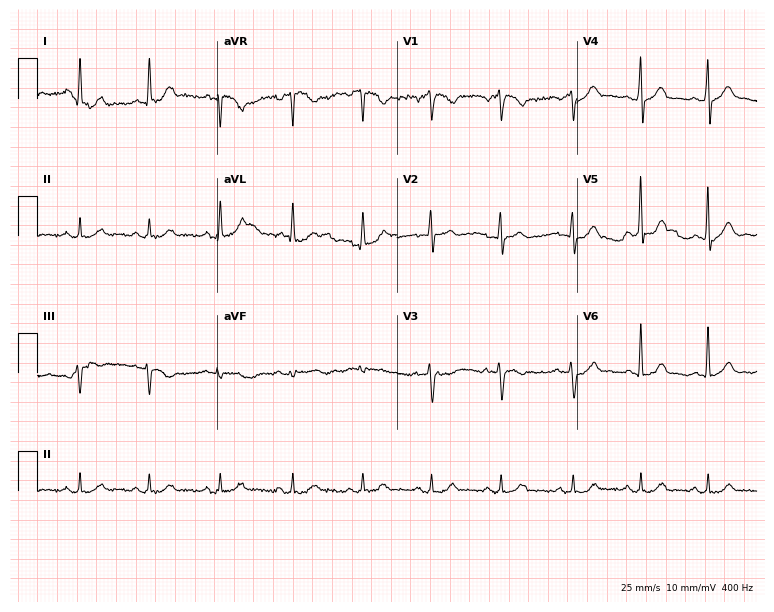
12-lead ECG from a 43-year-old male (7.3-second recording at 400 Hz). Recorded interpretation: within normal limits.